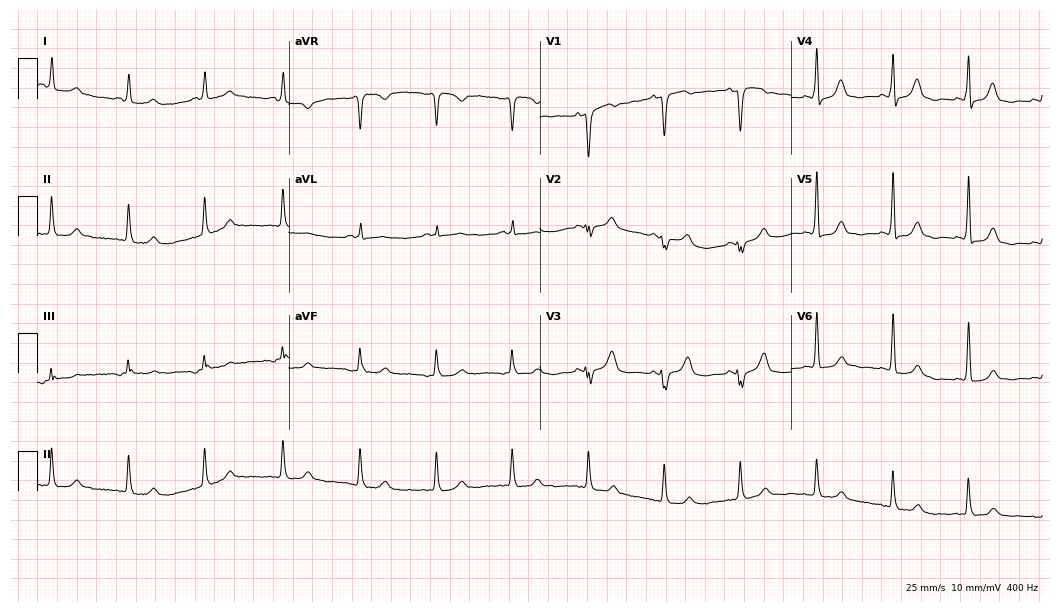
Resting 12-lead electrocardiogram (10.2-second recording at 400 Hz). Patient: an 83-year-old female. Read as a normal ECG.